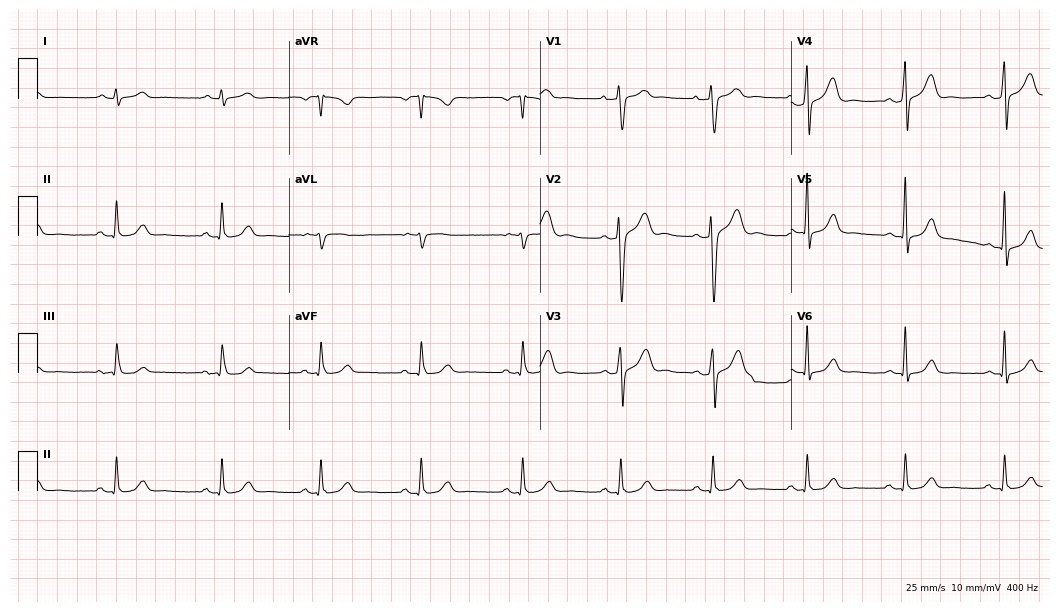
12-lead ECG from a 34-year-old man. Recorded interpretation: within normal limits.